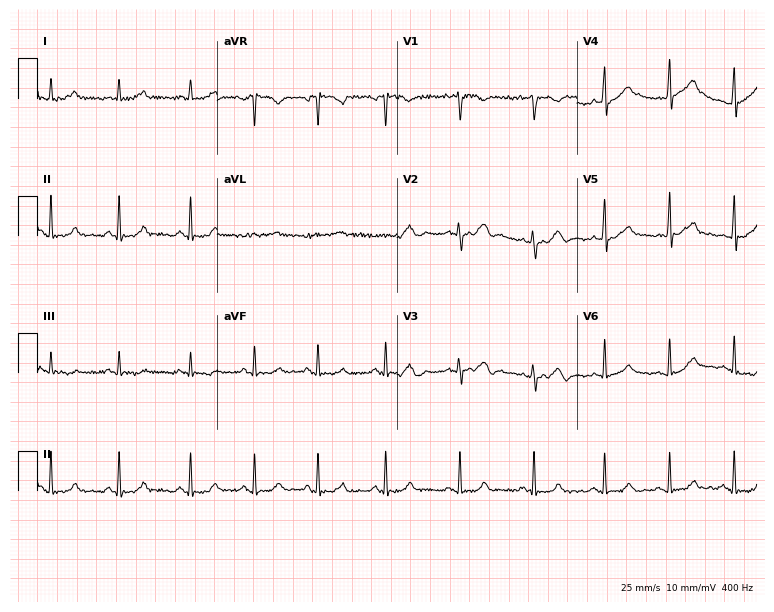
Standard 12-lead ECG recorded from a 24-year-old female. Read as a normal ECG.